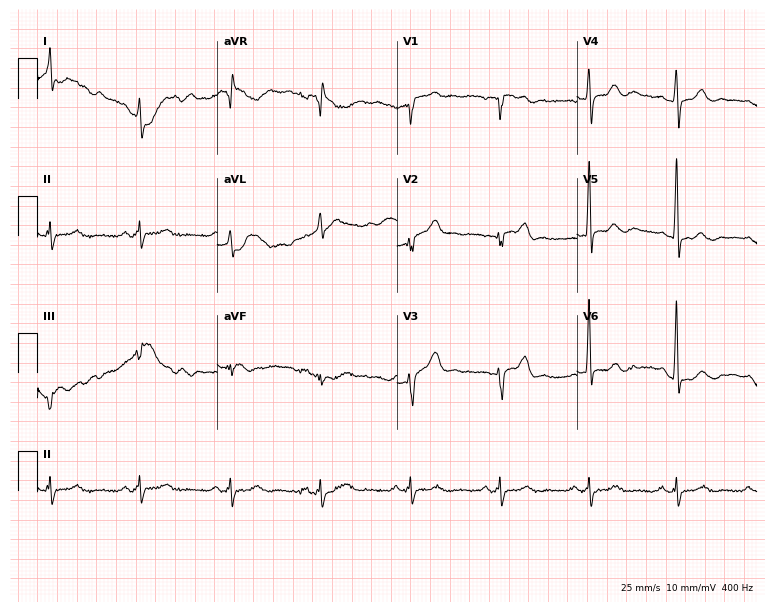
Resting 12-lead electrocardiogram. Patient: a 60-year-old male. Read as a normal ECG.